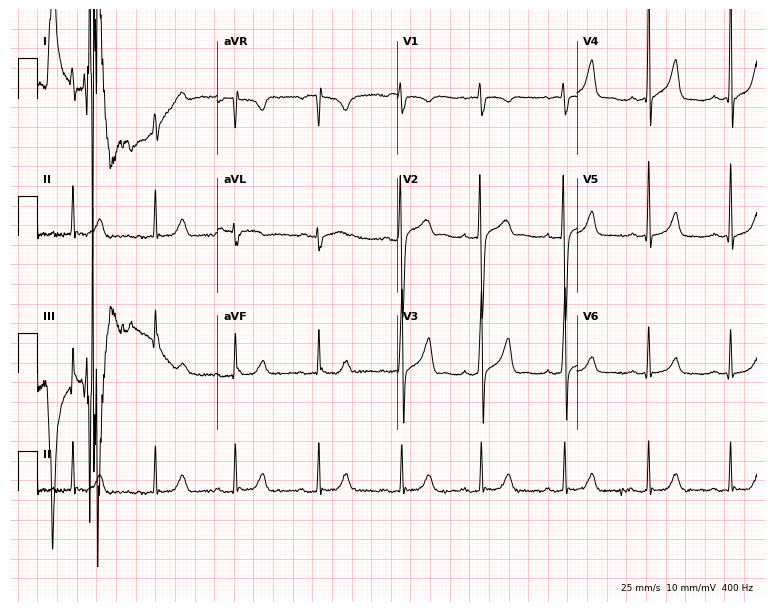
Electrocardiogram, a 22-year-old female. Of the six screened findings (first-degree AV block, right bundle branch block (RBBB), left bundle branch block (LBBB), sinus bradycardia, atrial fibrillation (AF), sinus tachycardia), none is recorded. Other findings, if any, are not listed.